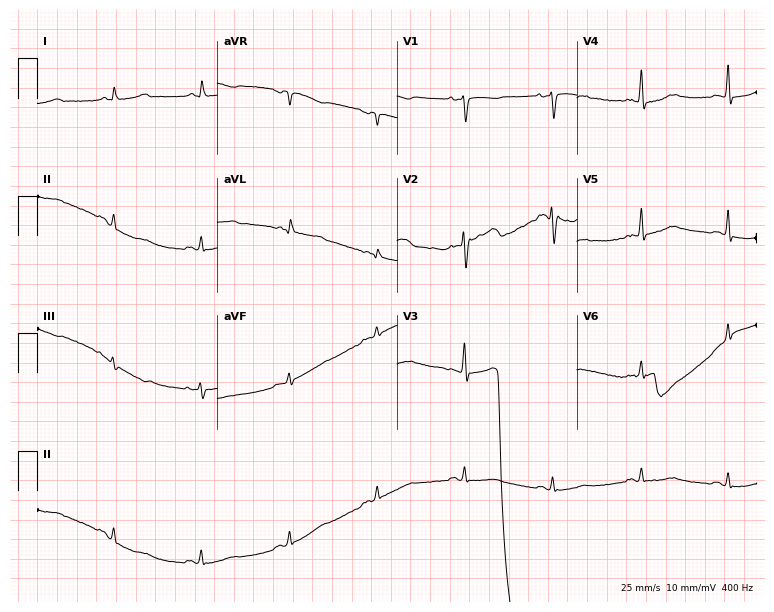
12-lead ECG from a 62-year-old male. No first-degree AV block, right bundle branch block, left bundle branch block, sinus bradycardia, atrial fibrillation or sinus tachycardia recorded for this tracing. Other findings, if any, are not listed.